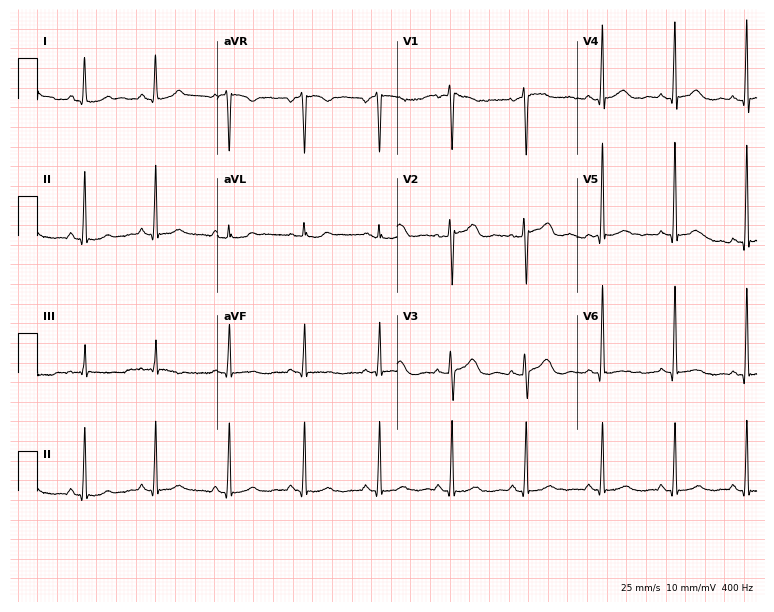
12-lead ECG from a female, 37 years old. Screened for six findings — first-degree AV block, right bundle branch block, left bundle branch block, sinus bradycardia, atrial fibrillation, sinus tachycardia — none is recorded.